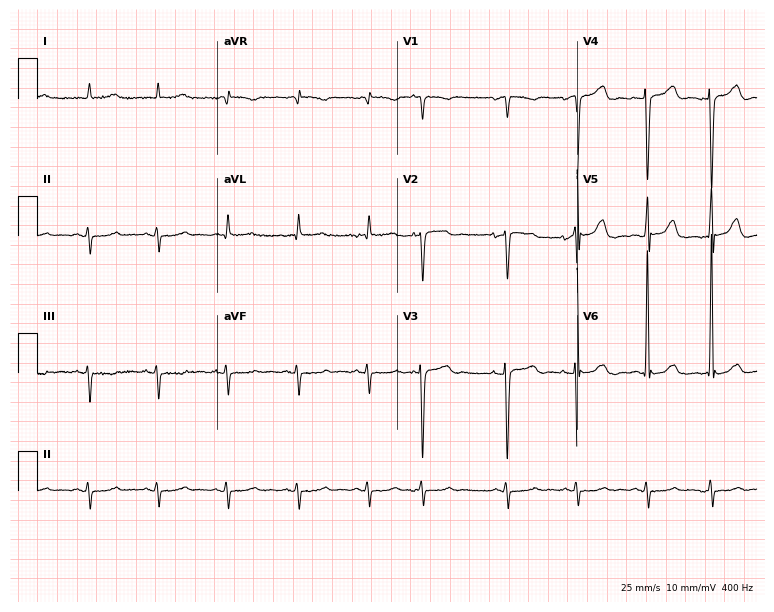
ECG — an 80-year-old female patient. Screened for six findings — first-degree AV block, right bundle branch block (RBBB), left bundle branch block (LBBB), sinus bradycardia, atrial fibrillation (AF), sinus tachycardia — none is recorded.